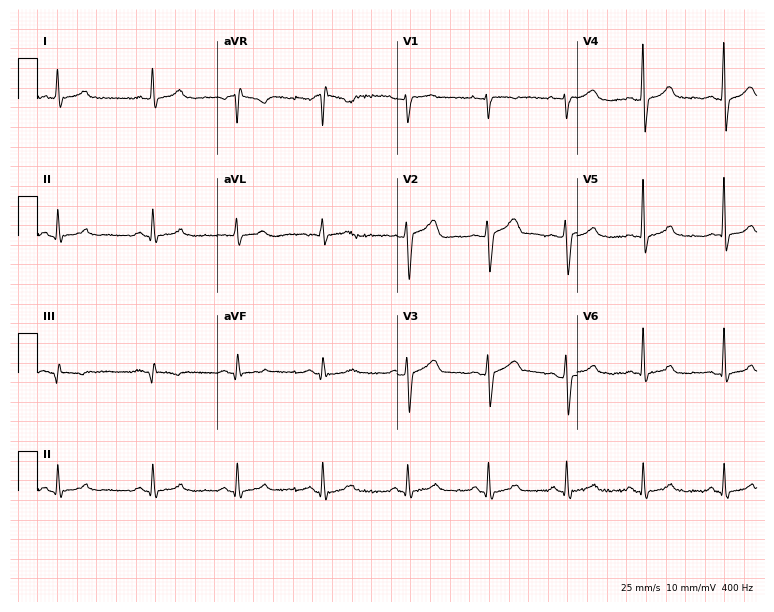
12-lead ECG (7.3-second recording at 400 Hz) from a male, 49 years old. Screened for six findings — first-degree AV block, right bundle branch block (RBBB), left bundle branch block (LBBB), sinus bradycardia, atrial fibrillation (AF), sinus tachycardia — none is recorded. Only these six findings were labelled.